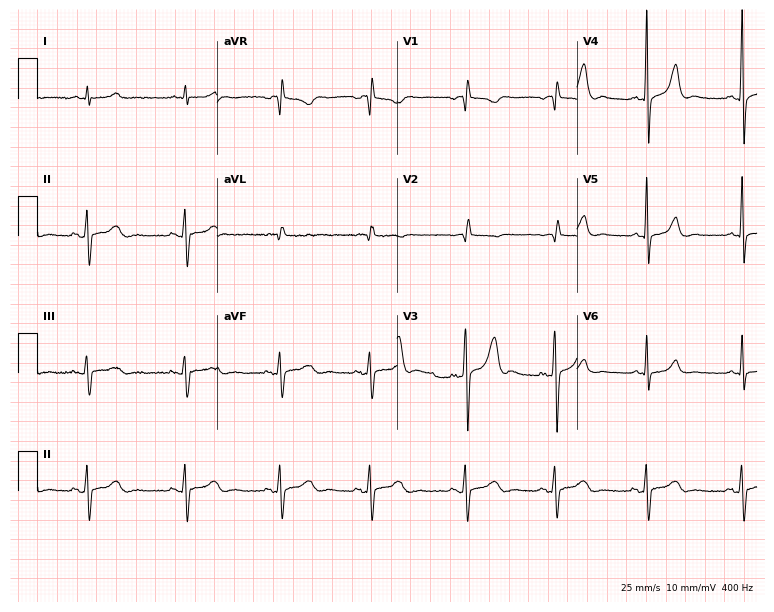
ECG — a male, 40 years old. Screened for six findings — first-degree AV block, right bundle branch block (RBBB), left bundle branch block (LBBB), sinus bradycardia, atrial fibrillation (AF), sinus tachycardia — none is recorded.